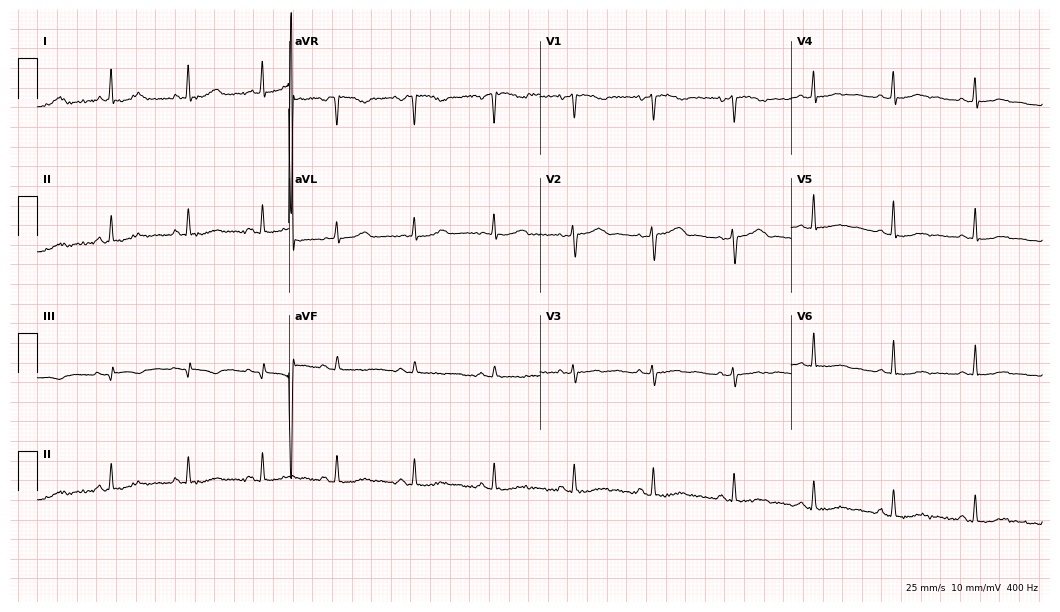
12-lead ECG from a female, 44 years old. No first-degree AV block, right bundle branch block, left bundle branch block, sinus bradycardia, atrial fibrillation or sinus tachycardia recorded for this tracing.